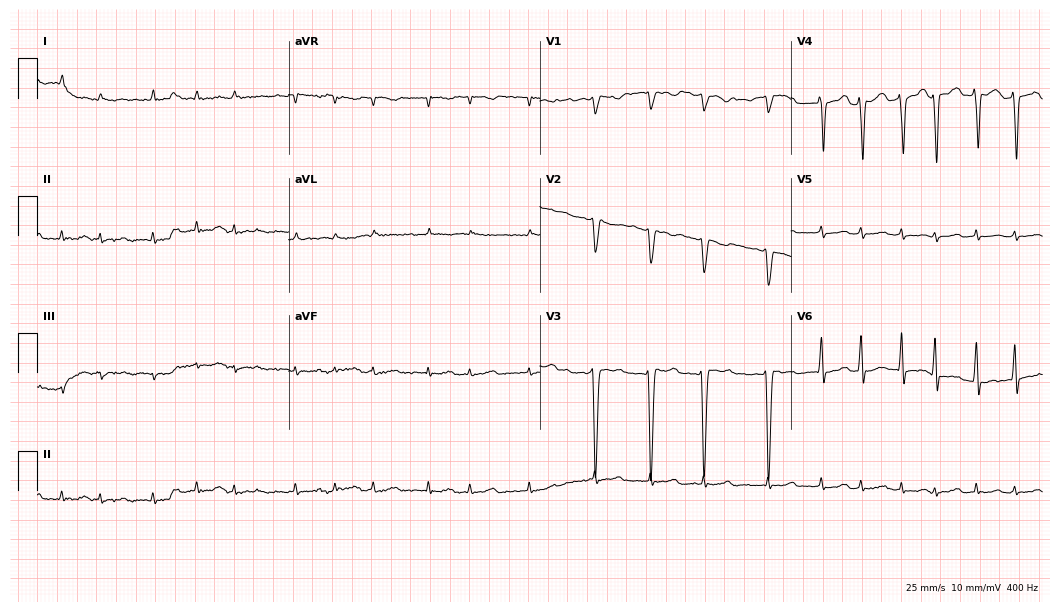
ECG — a 76-year-old man. Findings include atrial fibrillation (AF).